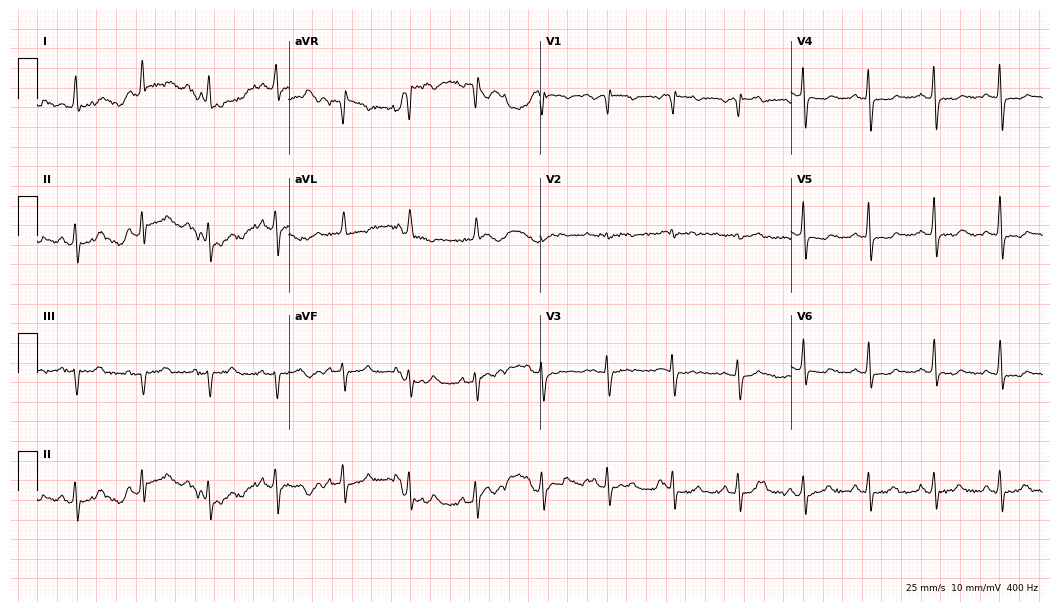
12-lead ECG from a female, 58 years old. Screened for six findings — first-degree AV block, right bundle branch block, left bundle branch block, sinus bradycardia, atrial fibrillation, sinus tachycardia — none is recorded. Only these six findings were labelled.